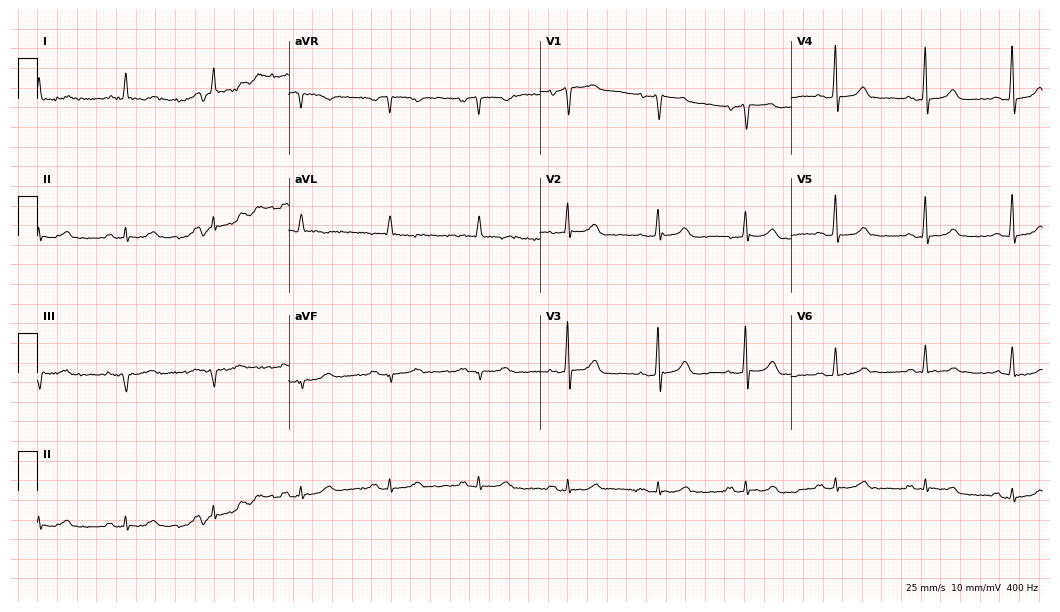
Standard 12-lead ECG recorded from an 83-year-old man (10.2-second recording at 400 Hz). Read as a normal ECG.